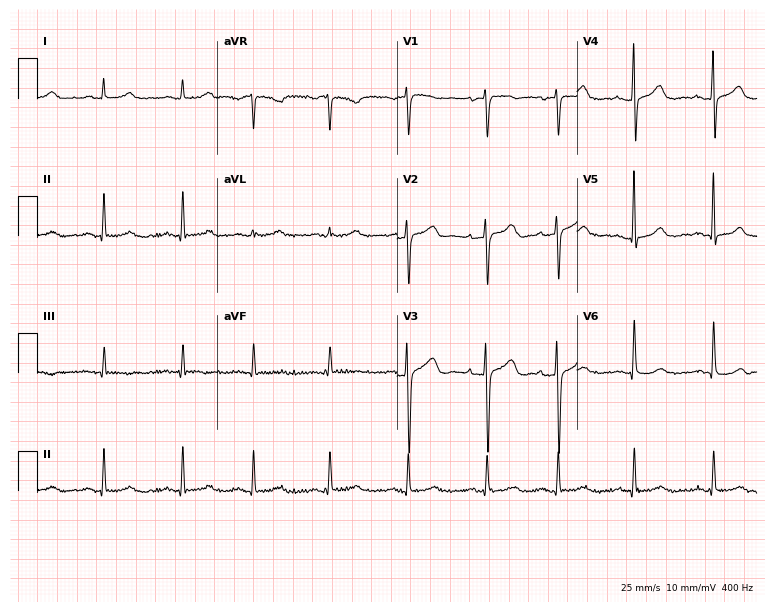
12-lead ECG from a 63-year-old female. No first-degree AV block, right bundle branch block, left bundle branch block, sinus bradycardia, atrial fibrillation or sinus tachycardia recorded for this tracing. Only these six findings were labelled.